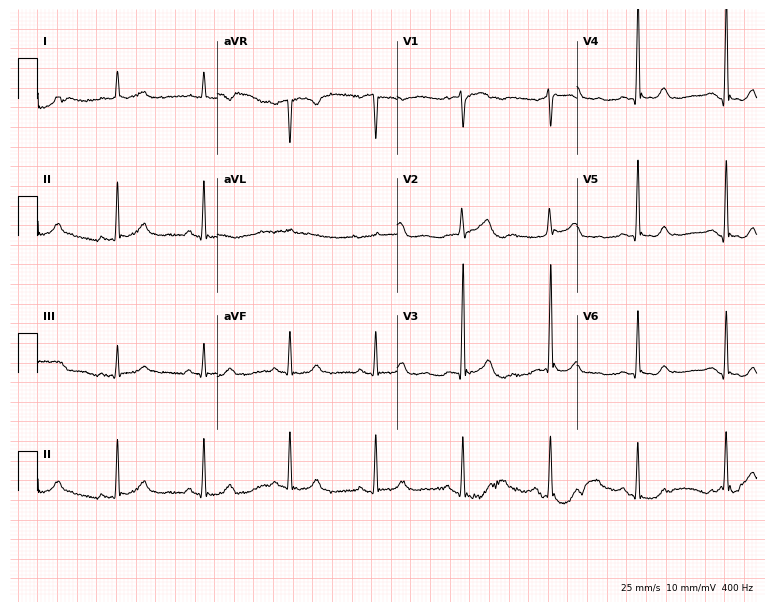
ECG — a man, 80 years old. Labelled as a normal ECG.